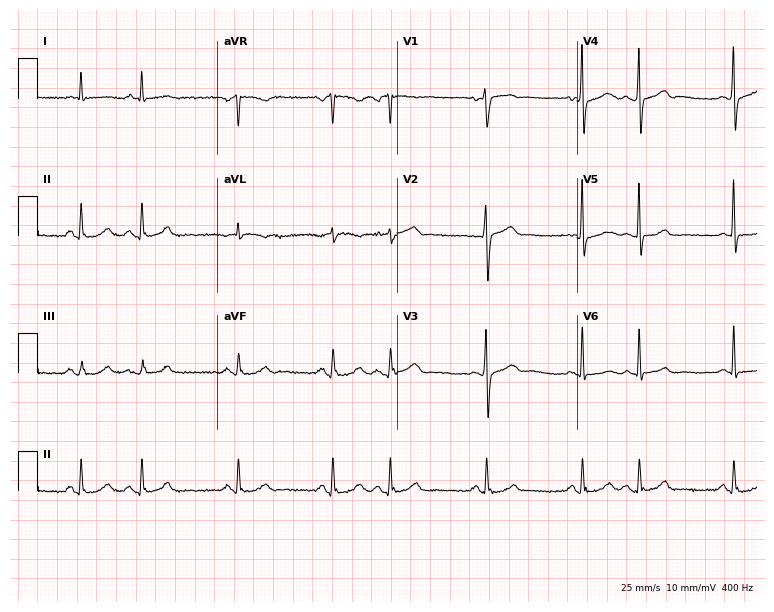
12-lead ECG from a male, 79 years old. No first-degree AV block, right bundle branch block (RBBB), left bundle branch block (LBBB), sinus bradycardia, atrial fibrillation (AF) or sinus tachycardia recorded for this tracing.